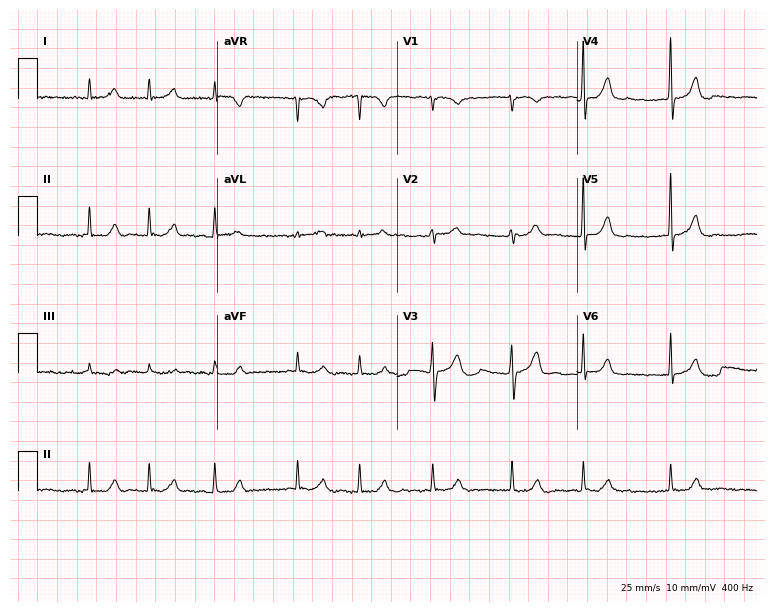
Standard 12-lead ECG recorded from an 82-year-old male. The tracing shows atrial fibrillation.